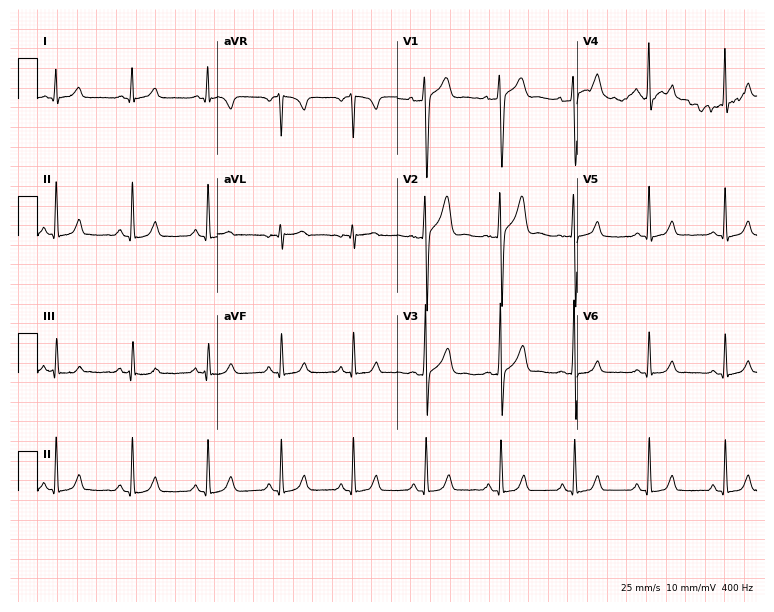
12-lead ECG from a 28-year-old male patient. Screened for six findings — first-degree AV block, right bundle branch block, left bundle branch block, sinus bradycardia, atrial fibrillation, sinus tachycardia — none is recorded. Only these six findings were labelled.